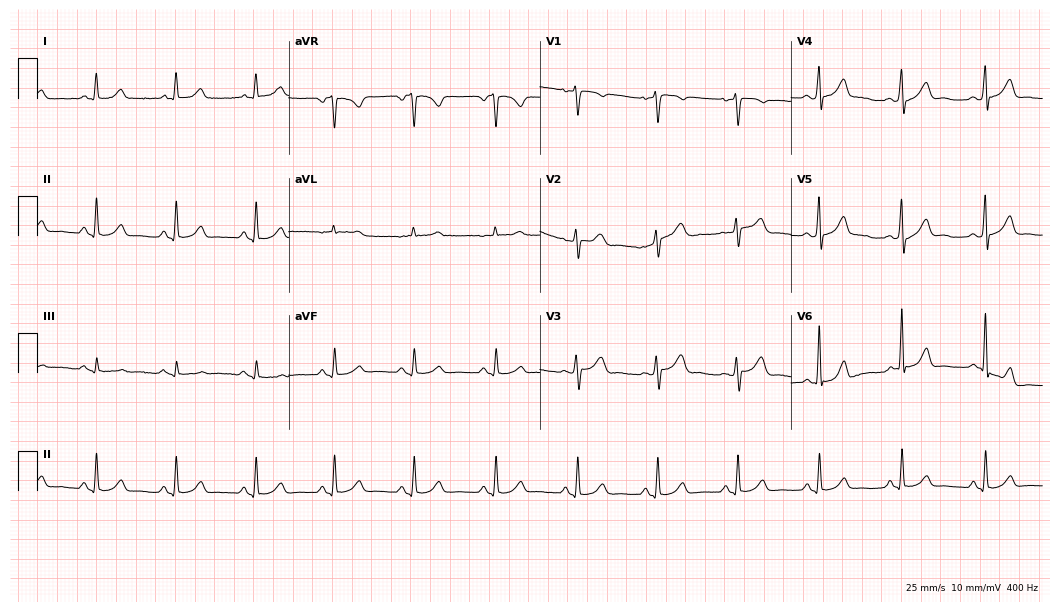
12-lead ECG from a 40-year-old woman. Recorded interpretation: within normal limits.